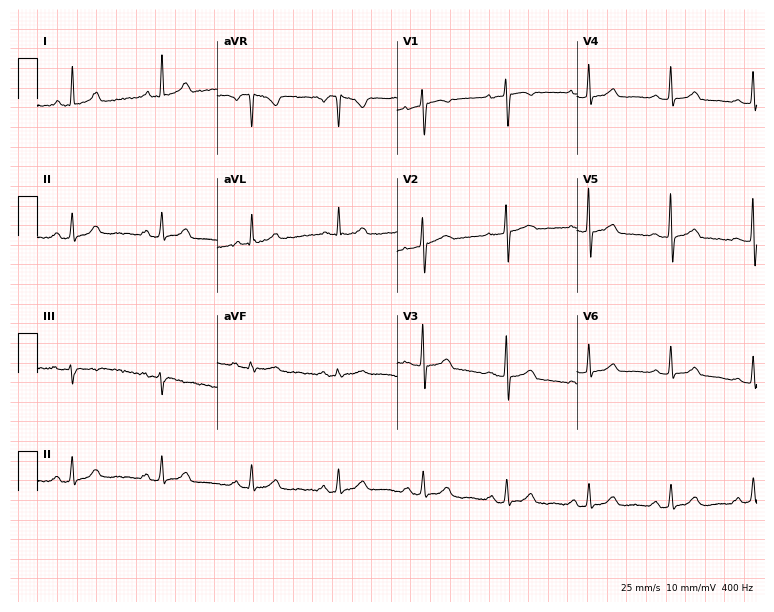
ECG (7.3-second recording at 400 Hz) — a female, 36 years old. Screened for six findings — first-degree AV block, right bundle branch block, left bundle branch block, sinus bradycardia, atrial fibrillation, sinus tachycardia — none is recorded. Only these six findings were labelled.